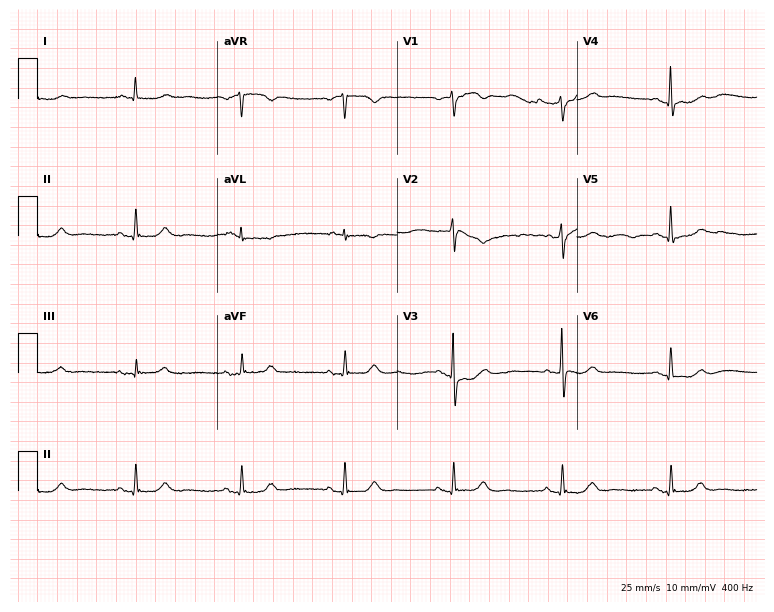
Resting 12-lead electrocardiogram. Patient: a 67-year-old woman. None of these six findings is recorded: first-degree AV block, right bundle branch block, left bundle branch block, sinus bradycardia, atrial fibrillation, sinus tachycardia.